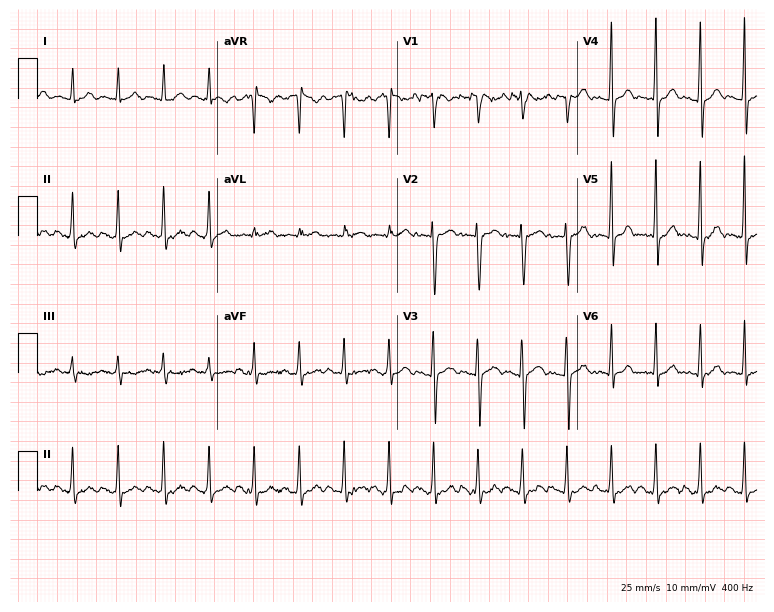
12-lead ECG from a 21-year-old female (7.3-second recording at 400 Hz). No first-degree AV block, right bundle branch block, left bundle branch block, sinus bradycardia, atrial fibrillation or sinus tachycardia recorded for this tracing. Only these six findings were labelled.